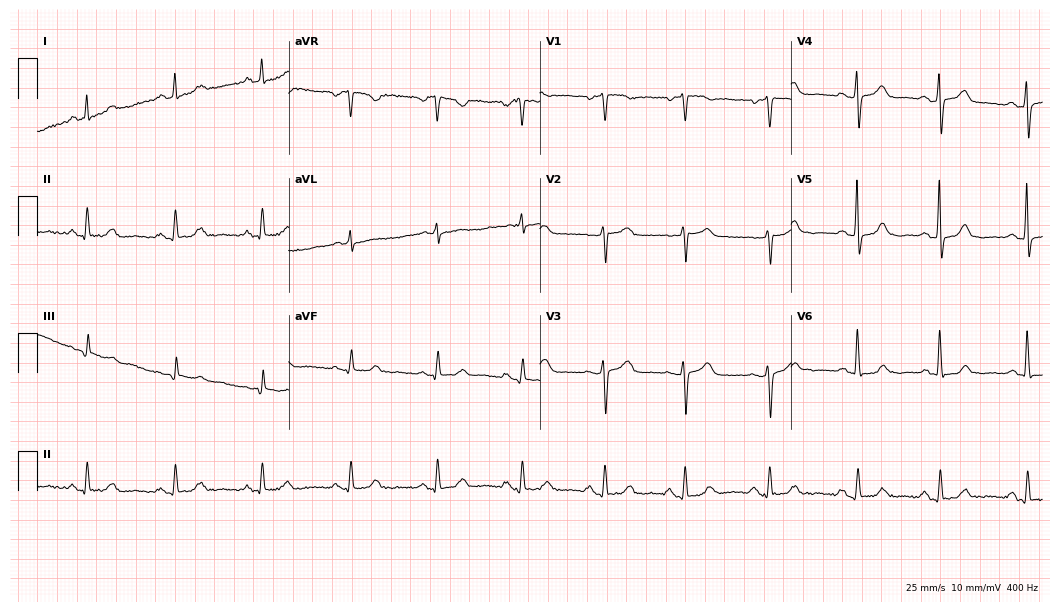
Electrocardiogram (10.2-second recording at 400 Hz), a female, 69 years old. Overall reading on record: normal ECG.